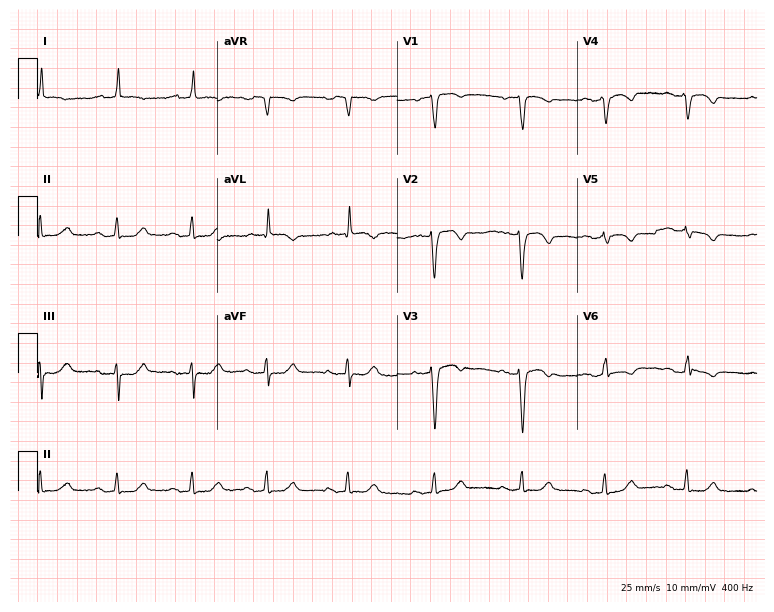
Resting 12-lead electrocardiogram. Patient: a 64-year-old woman. The tracing shows first-degree AV block.